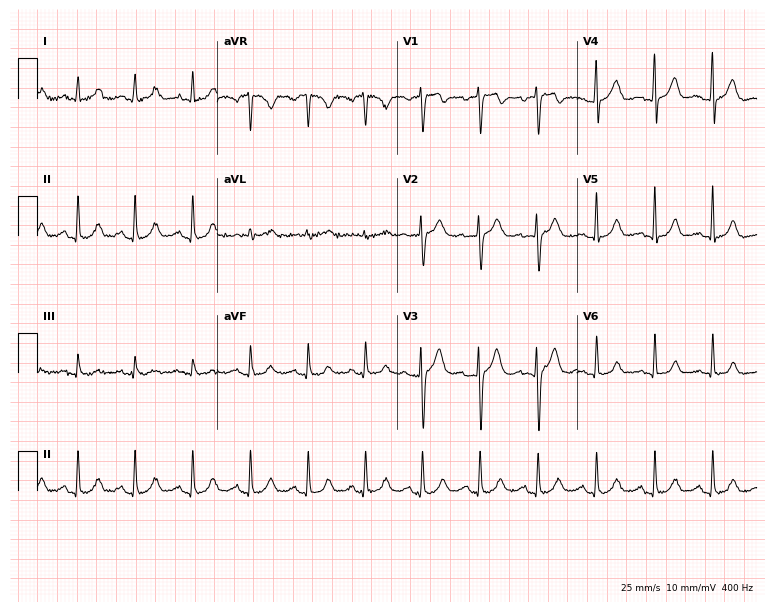
Resting 12-lead electrocardiogram. Patient: a 44-year-old female. The tracing shows sinus tachycardia (a sinus rate of 100 beats per minute or more).